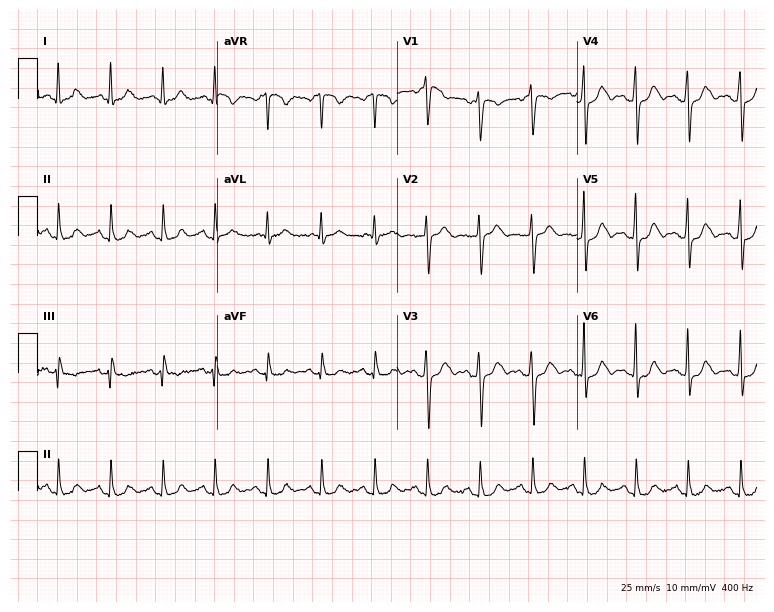
Standard 12-lead ECG recorded from a female, 45 years old (7.3-second recording at 400 Hz). None of these six findings is recorded: first-degree AV block, right bundle branch block, left bundle branch block, sinus bradycardia, atrial fibrillation, sinus tachycardia. Only these six findings were labelled.